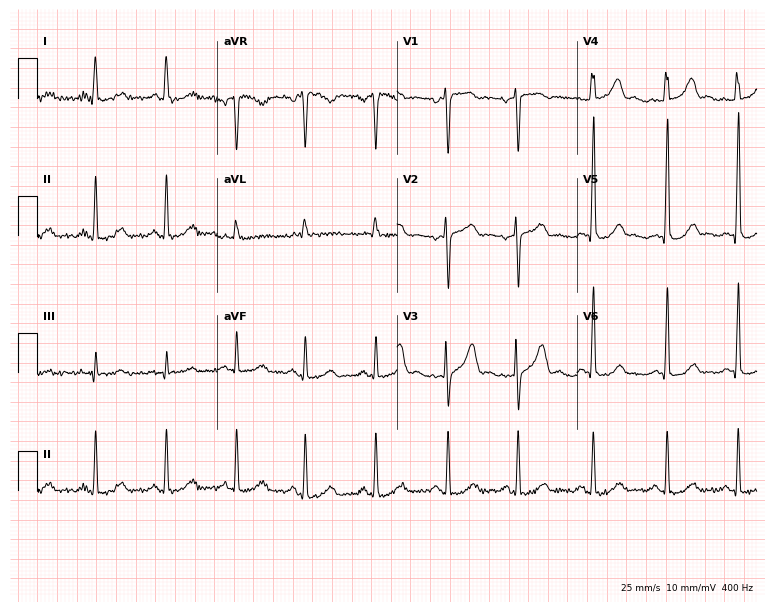
Resting 12-lead electrocardiogram. Patient: a 46-year-old female. Read as a normal ECG.